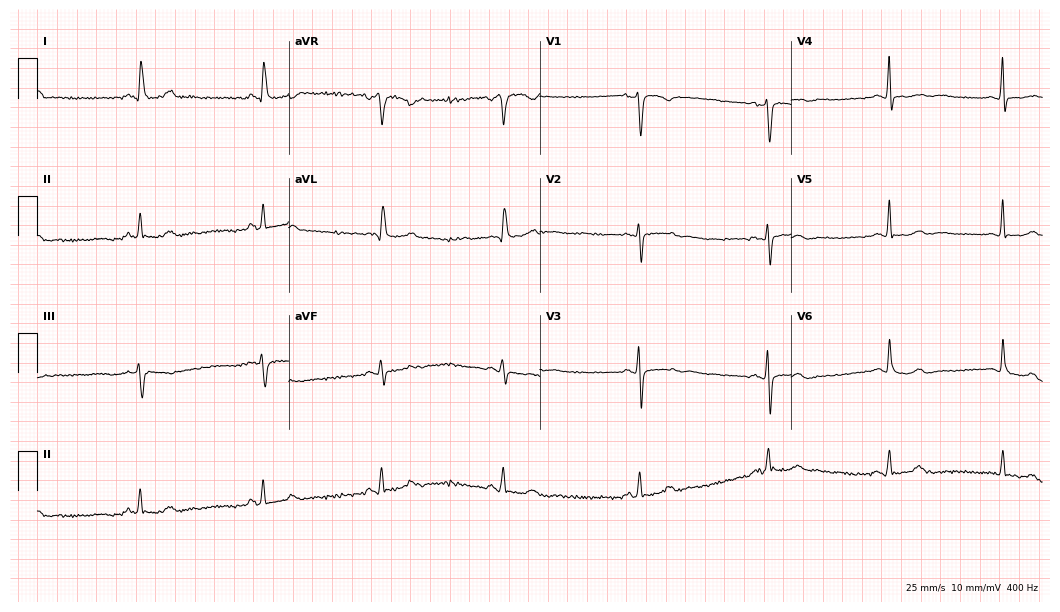
Resting 12-lead electrocardiogram (10.2-second recording at 400 Hz). Patient: a female, 66 years old. Read as a normal ECG.